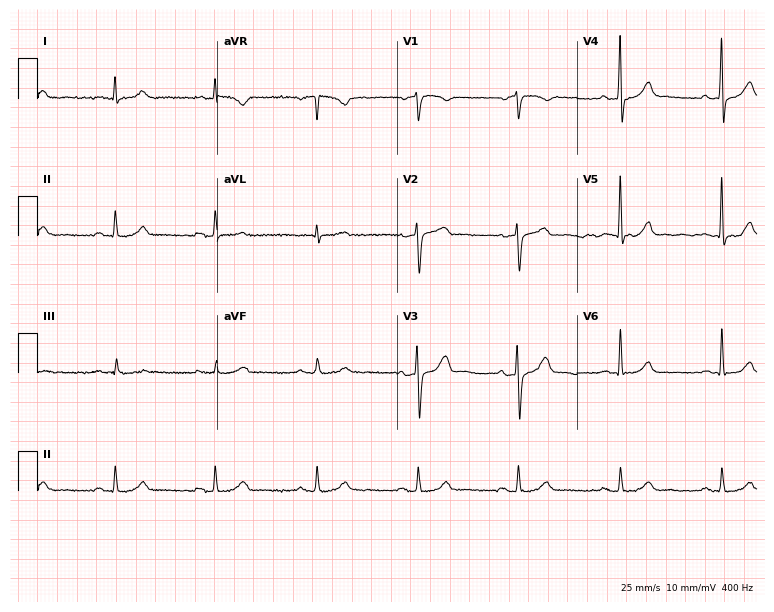
ECG — a male patient, 62 years old. Labelled as a normal ECG.